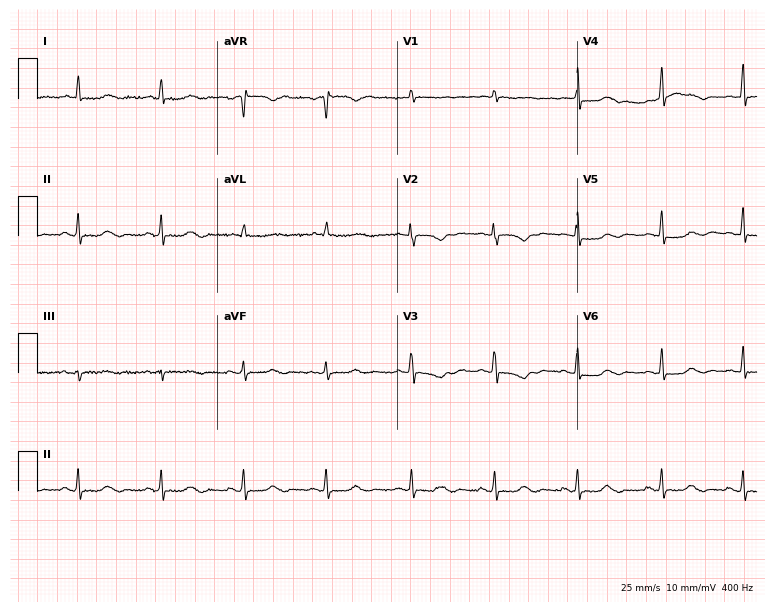
12-lead ECG from a woman, 62 years old (7.3-second recording at 400 Hz). No first-degree AV block, right bundle branch block, left bundle branch block, sinus bradycardia, atrial fibrillation or sinus tachycardia recorded for this tracing.